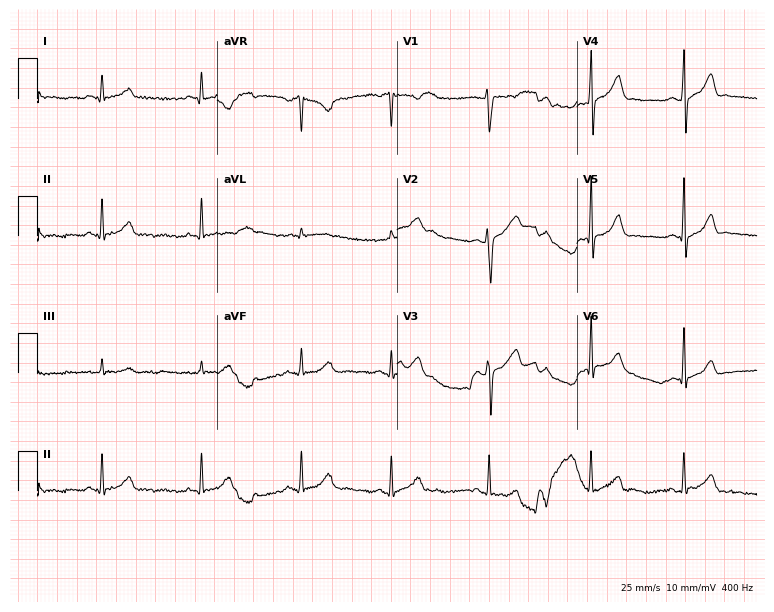
Standard 12-lead ECG recorded from a 19-year-old female. None of these six findings is recorded: first-degree AV block, right bundle branch block, left bundle branch block, sinus bradycardia, atrial fibrillation, sinus tachycardia. Other findings, if any, are not listed.